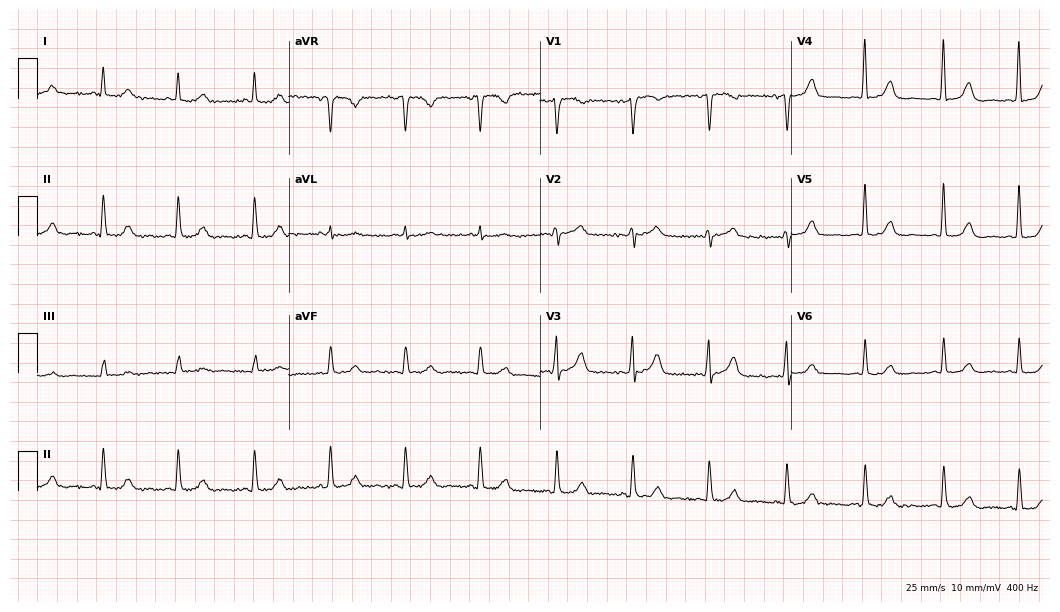
Resting 12-lead electrocardiogram. Patient: a 57-year-old female. Read as a normal ECG.